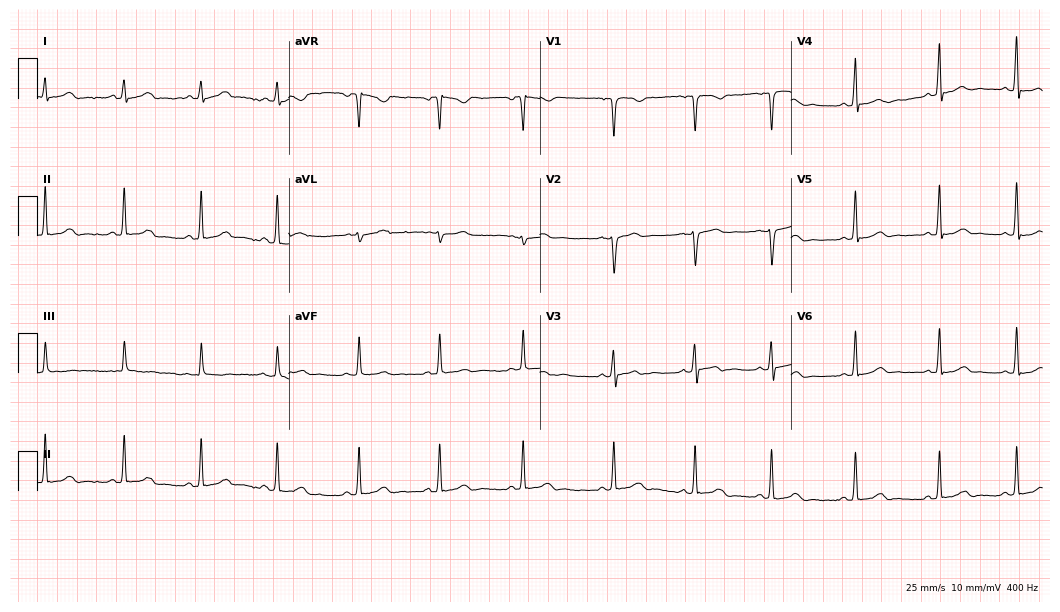
Resting 12-lead electrocardiogram. Patient: a female, 35 years old. Read as a normal ECG.